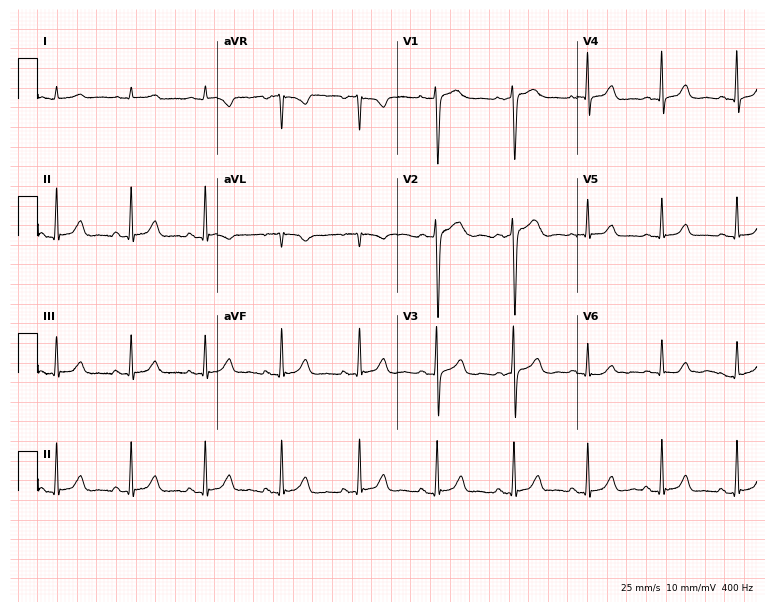
ECG — a 49-year-old female. Screened for six findings — first-degree AV block, right bundle branch block, left bundle branch block, sinus bradycardia, atrial fibrillation, sinus tachycardia — none is recorded.